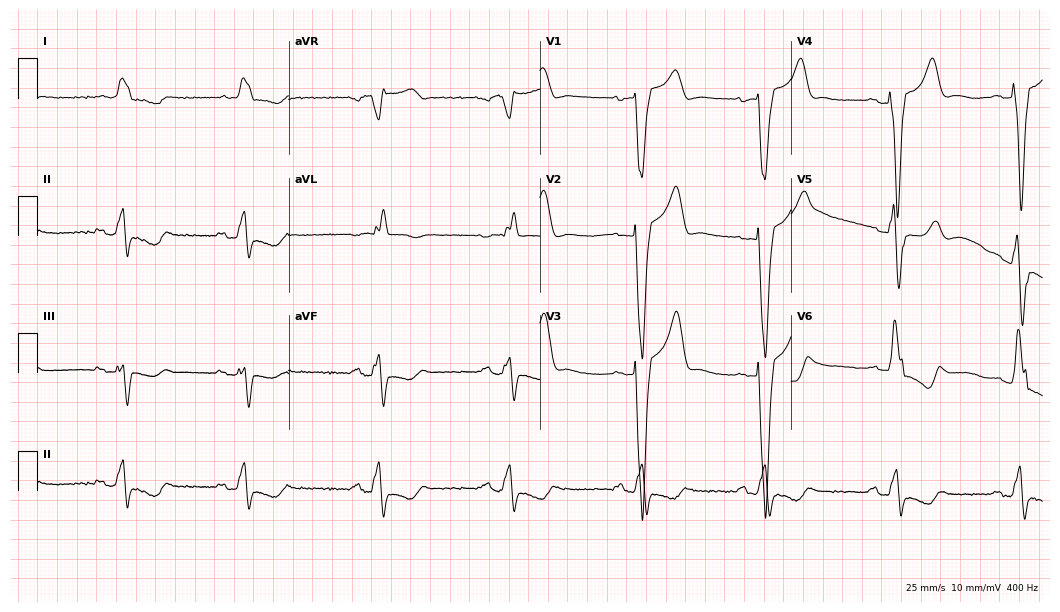
ECG — an 81-year-old male patient. Findings include left bundle branch block (LBBB), sinus bradycardia (a sinus rate of 50 beats per minute or less).